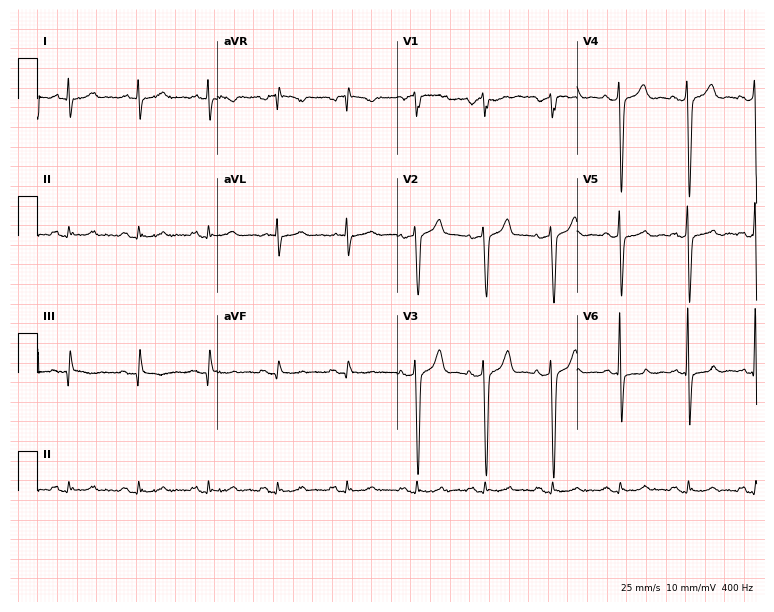
Standard 12-lead ECG recorded from a man, 70 years old (7.3-second recording at 400 Hz). None of these six findings is recorded: first-degree AV block, right bundle branch block (RBBB), left bundle branch block (LBBB), sinus bradycardia, atrial fibrillation (AF), sinus tachycardia.